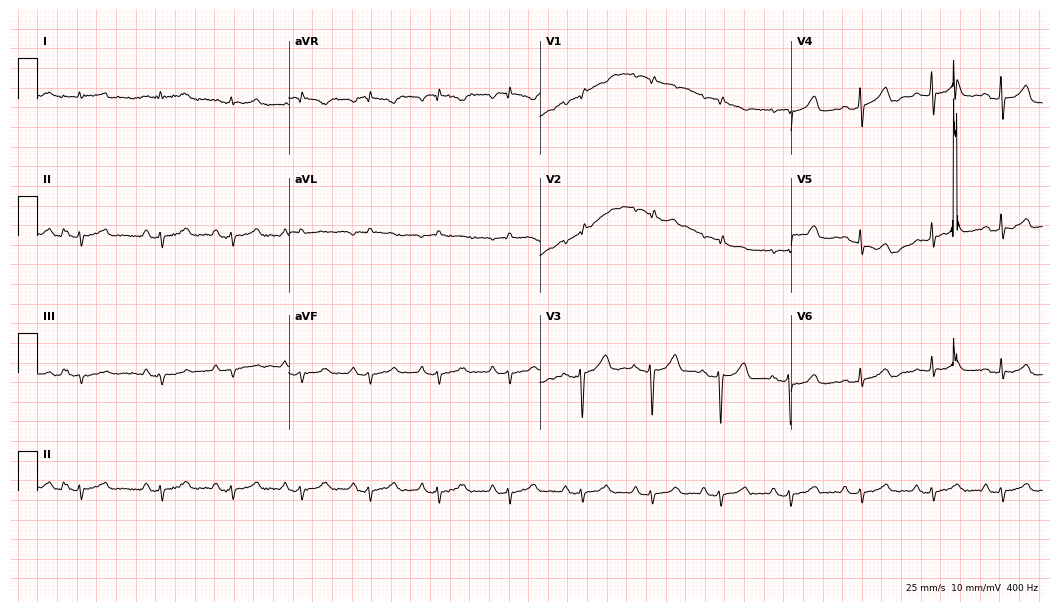
ECG — a female patient, 82 years old. Screened for six findings — first-degree AV block, right bundle branch block, left bundle branch block, sinus bradycardia, atrial fibrillation, sinus tachycardia — none is recorded. Other findings, if any, are not listed.